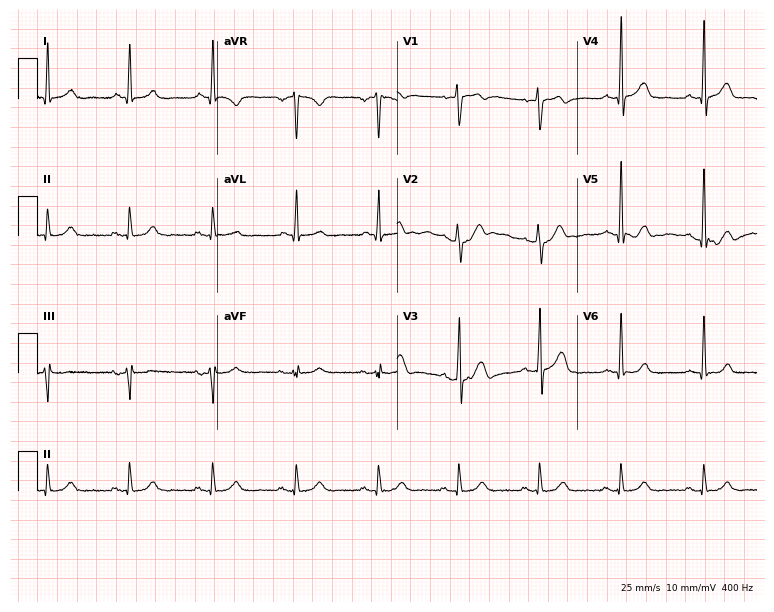
Resting 12-lead electrocardiogram. Patient: a male, 53 years old. Read as a normal ECG.